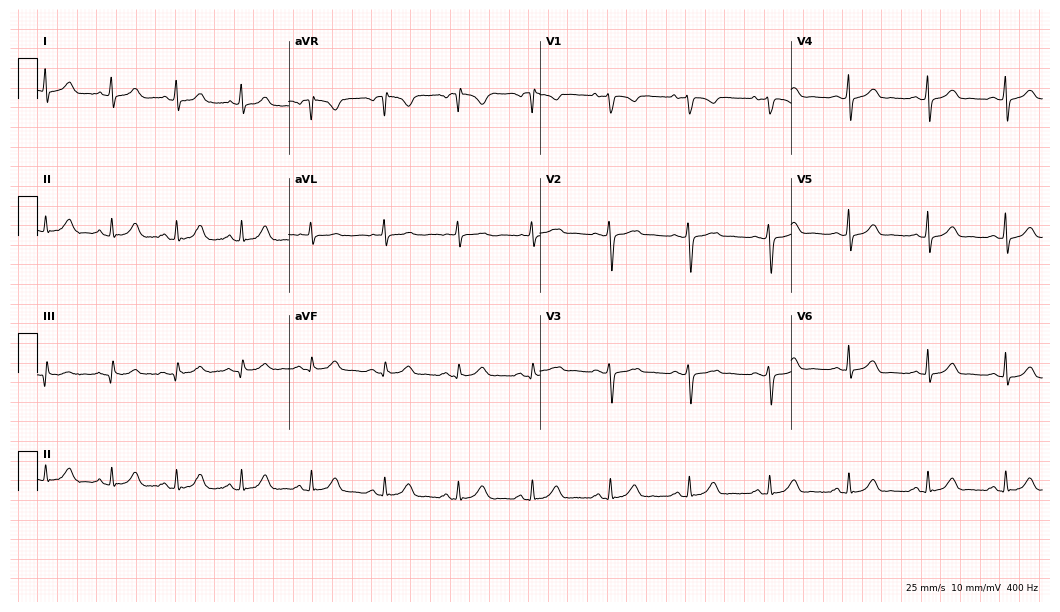
Resting 12-lead electrocardiogram (10.2-second recording at 400 Hz). Patient: a 23-year-old female. Read as a normal ECG.